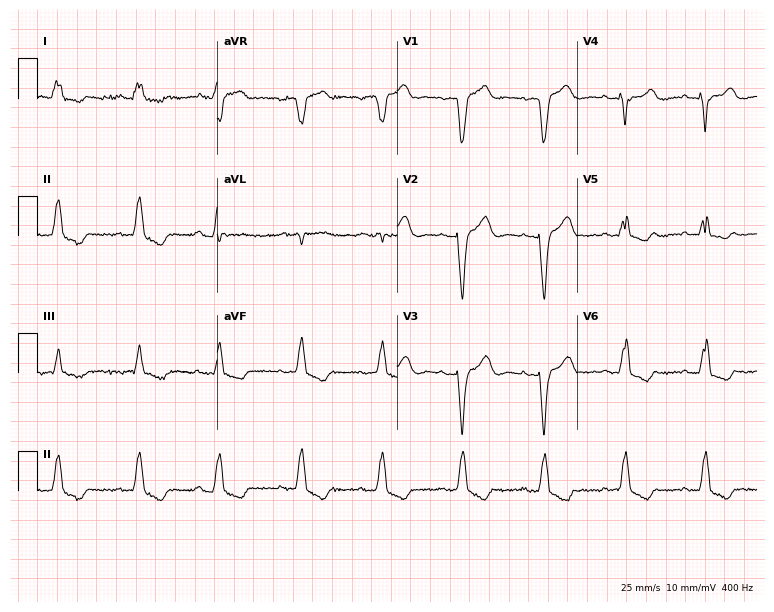
Resting 12-lead electrocardiogram (7.3-second recording at 400 Hz). Patient: an 85-year-old female. The tracing shows left bundle branch block.